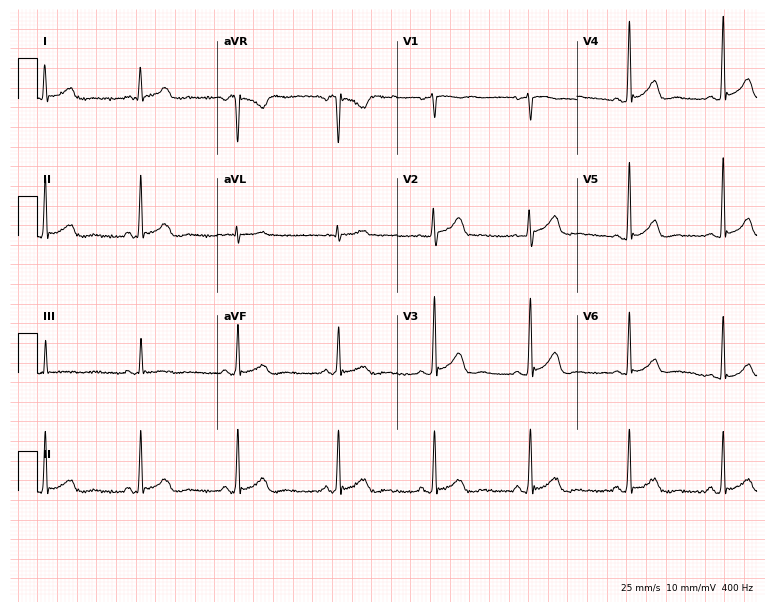
12-lead ECG from a 50-year-old female patient. Labelled as a normal ECG.